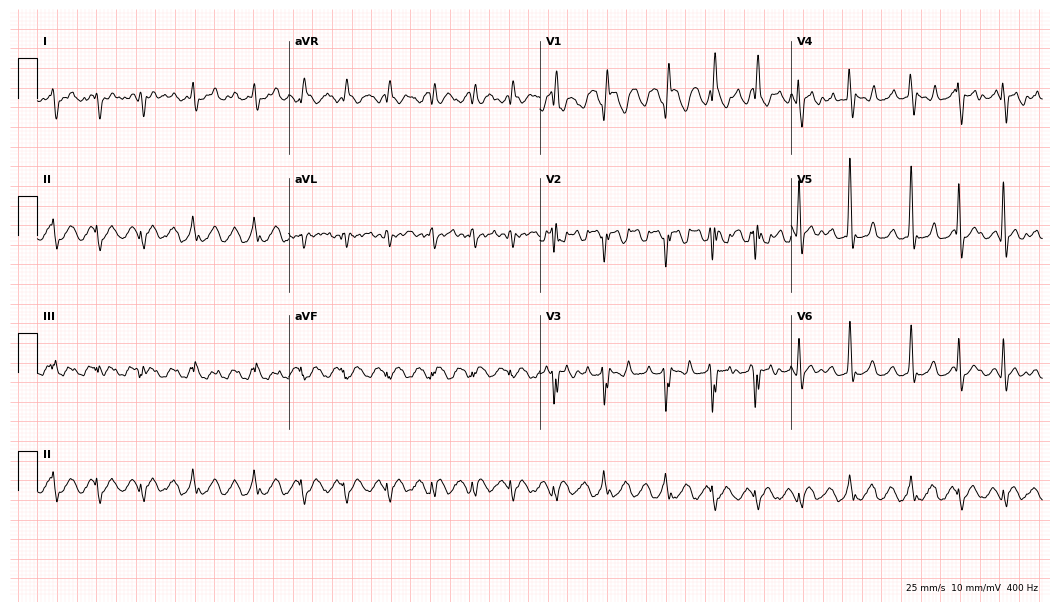
Standard 12-lead ECG recorded from a 27-year-old male (10.2-second recording at 400 Hz). The tracing shows right bundle branch block, atrial fibrillation.